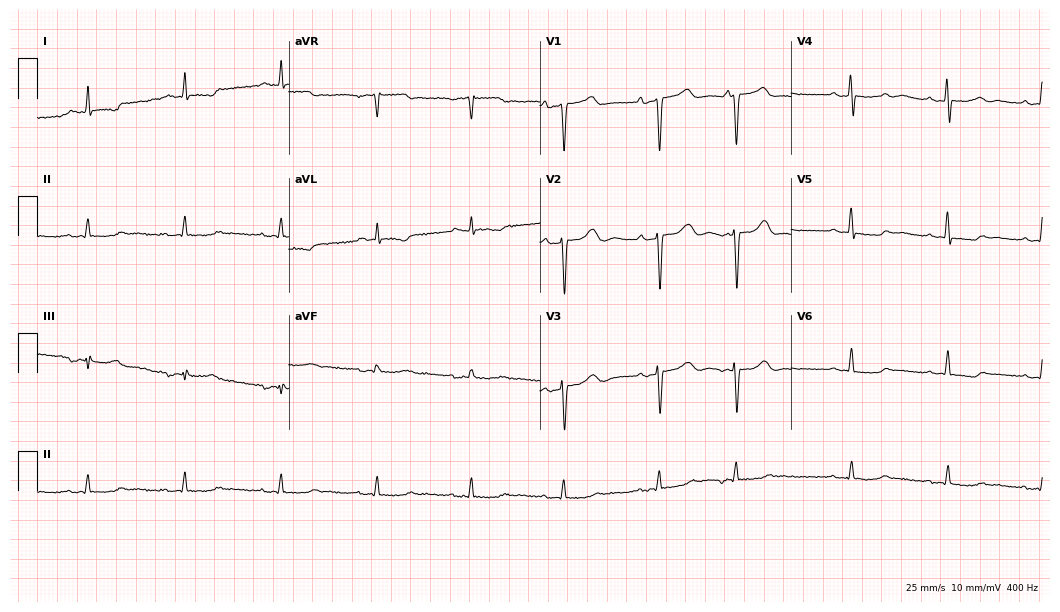
Standard 12-lead ECG recorded from a 64-year-old male patient (10.2-second recording at 400 Hz). None of these six findings is recorded: first-degree AV block, right bundle branch block, left bundle branch block, sinus bradycardia, atrial fibrillation, sinus tachycardia. Only these six findings were labelled.